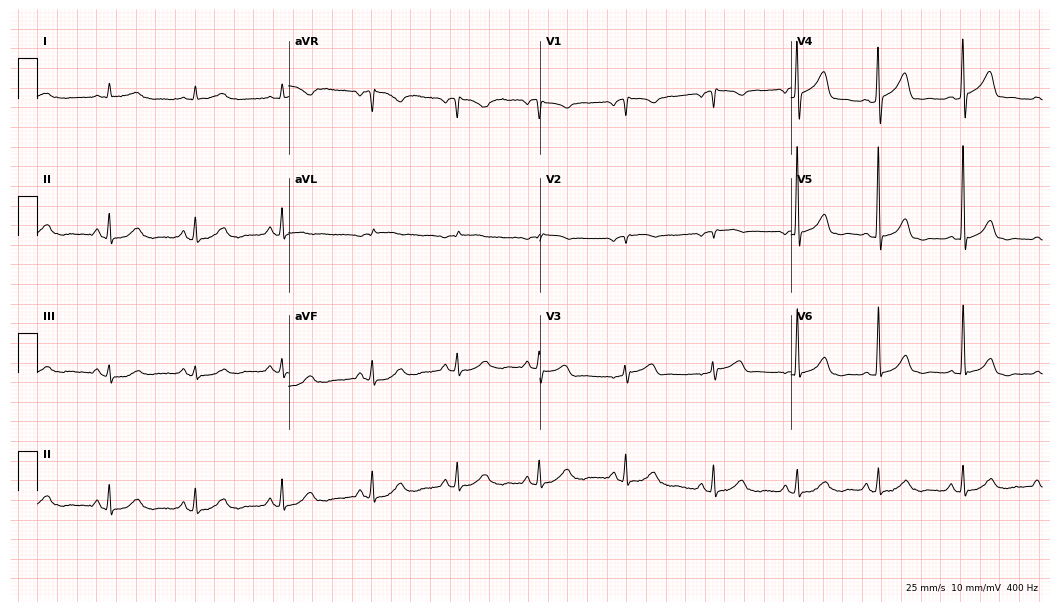
Electrocardiogram, a 74-year-old male patient. Of the six screened findings (first-degree AV block, right bundle branch block (RBBB), left bundle branch block (LBBB), sinus bradycardia, atrial fibrillation (AF), sinus tachycardia), none is recorded. Only these six findings were labelled.